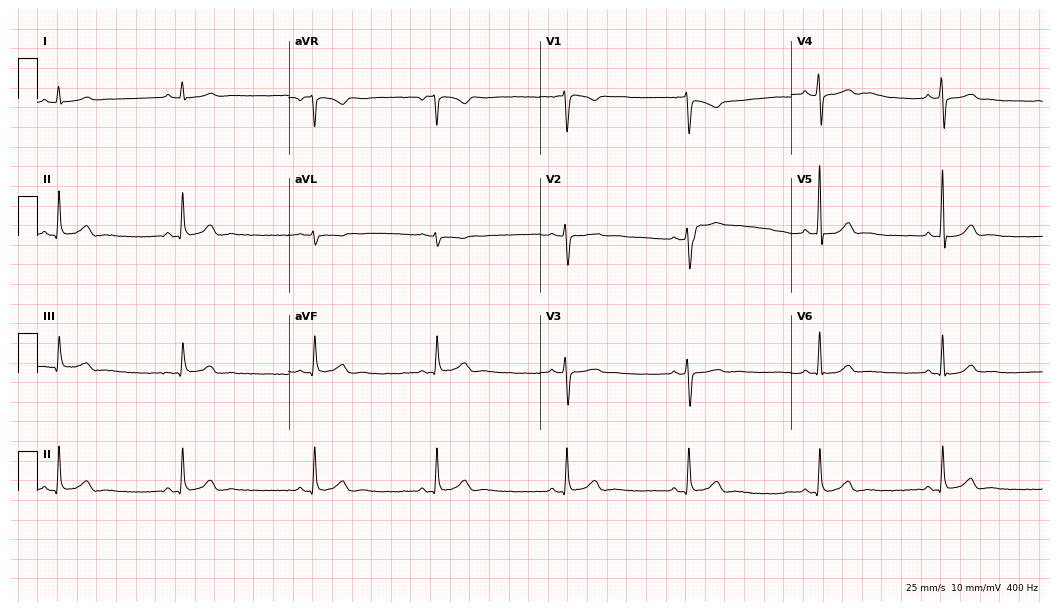
12-lead ECG from a male, 46 years old. Recorded interpretation: within normal limits.